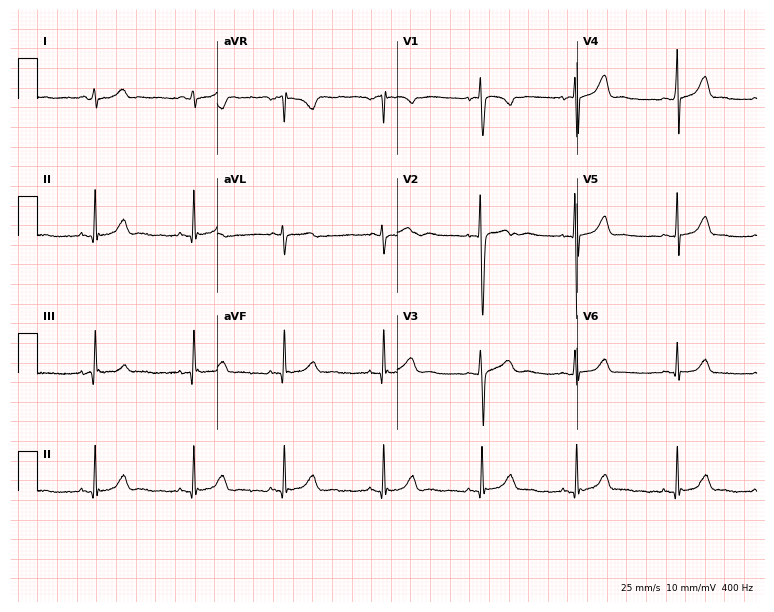
ECG (7.3-second recording at 400 Hz) — a female patient, 18 years old. Screened for six findings — first-degree AV block, right bundle branch block, left bundle branch block, sinus bradycardia, atrial fibrillation, sinus tachycardia — none is recorded. Findings outside these six are not listed.